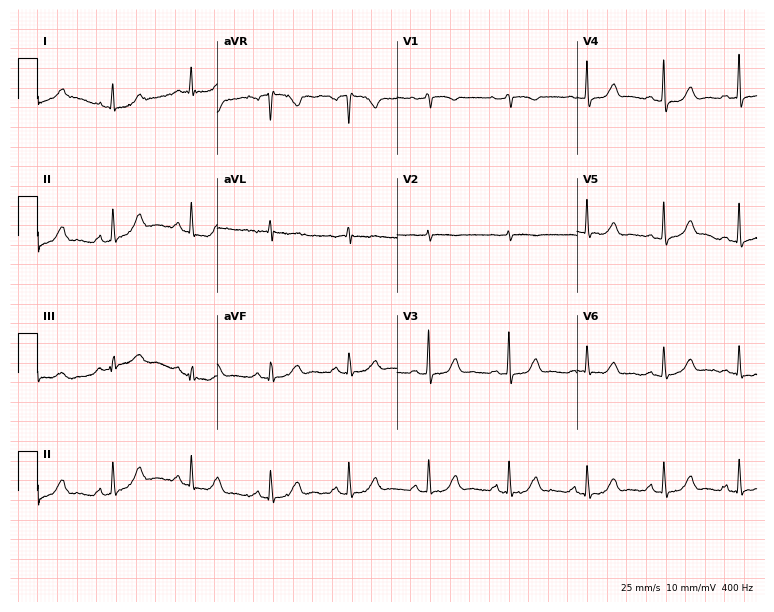
ECG — a female patient, 59 years old. Labelled as a normal ECG.